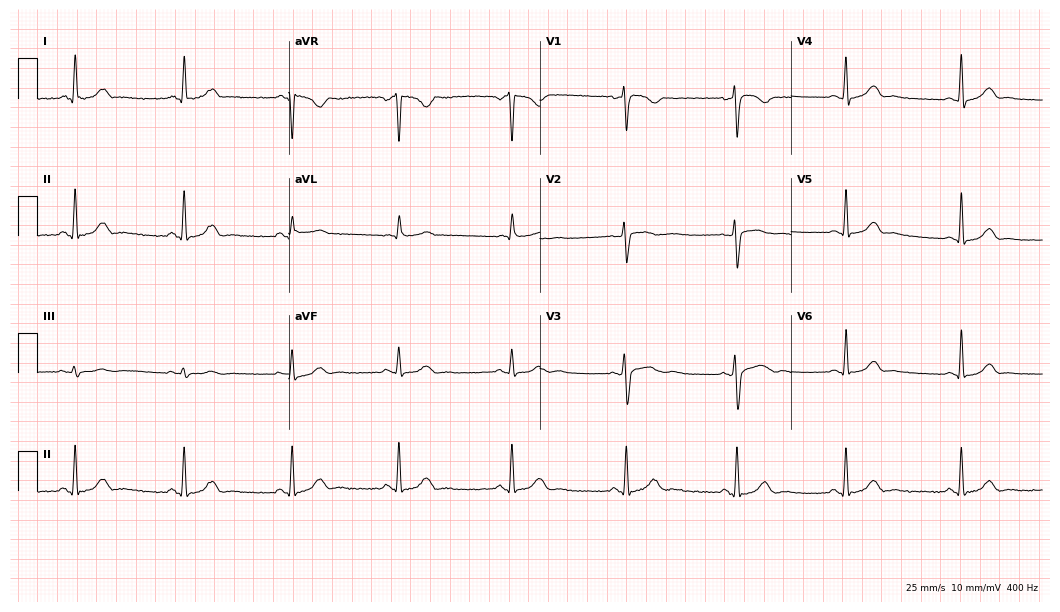
Standard 12-lead ECG recorded from a female, 44 years old (10.2-second recording at 400 Hz). Read as a normal ECG.